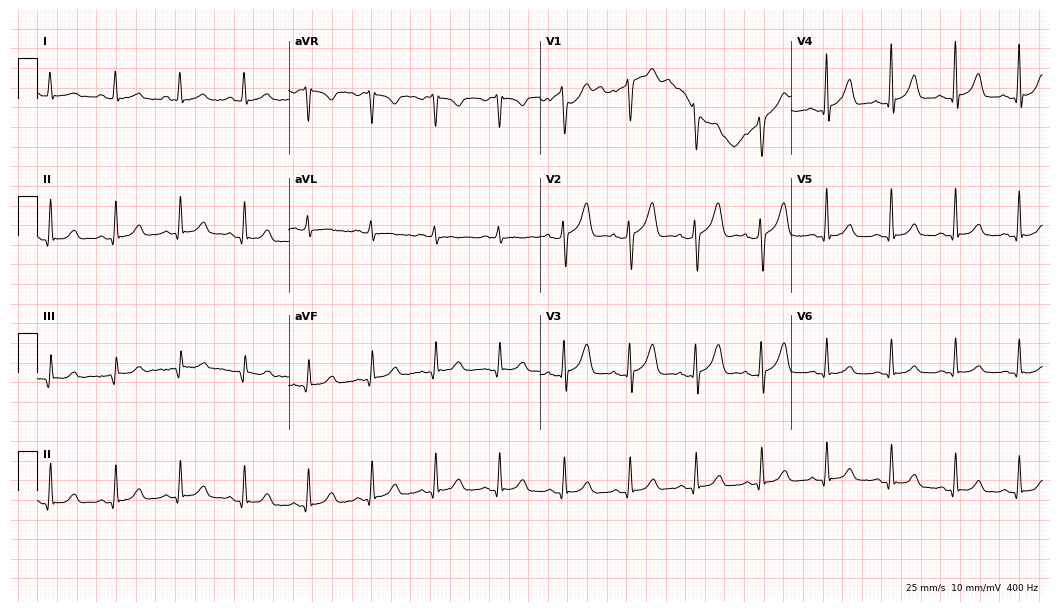
ECG — a man, 35 years old. Labelled as a normal ECG.